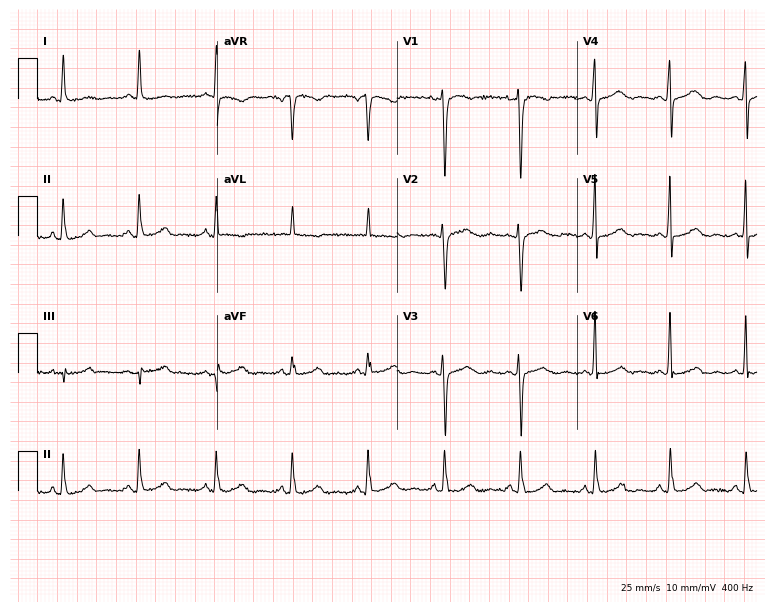
Electrocardiogram, a 42-year-old woman. Overall reading on record: normal ECG.